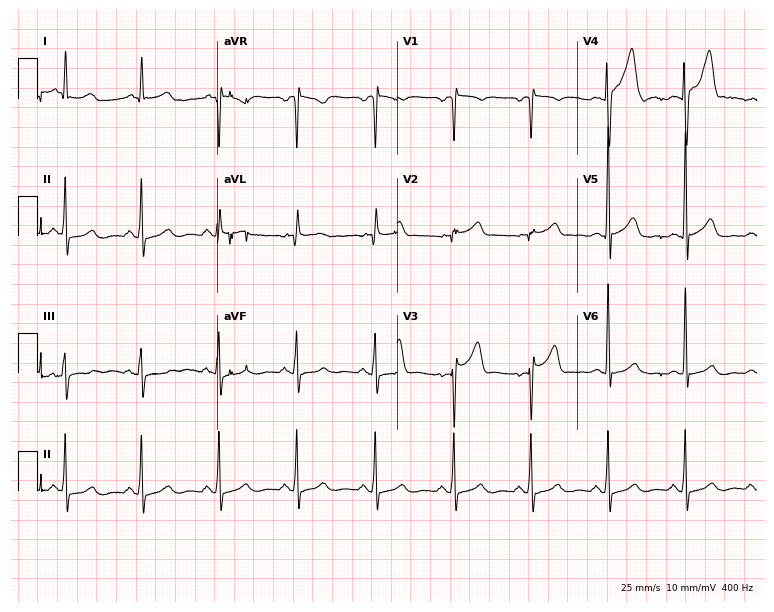
ECG (7.3-second recording at 400 Hz) — a man, 42 years old. Labelled as a normal ECG.